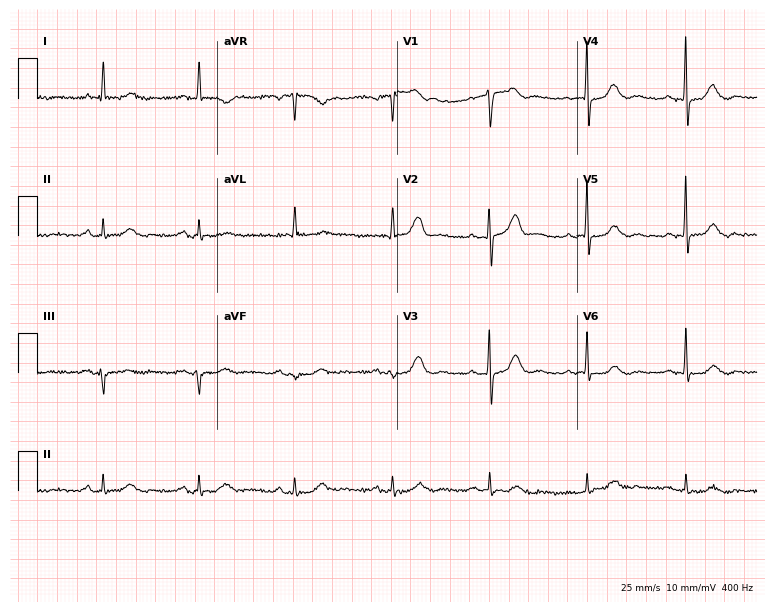
12-lead ECG from a male, 82 years old (7.3-second recording at 400 Hz). Recorded interpretation: within normal limits.